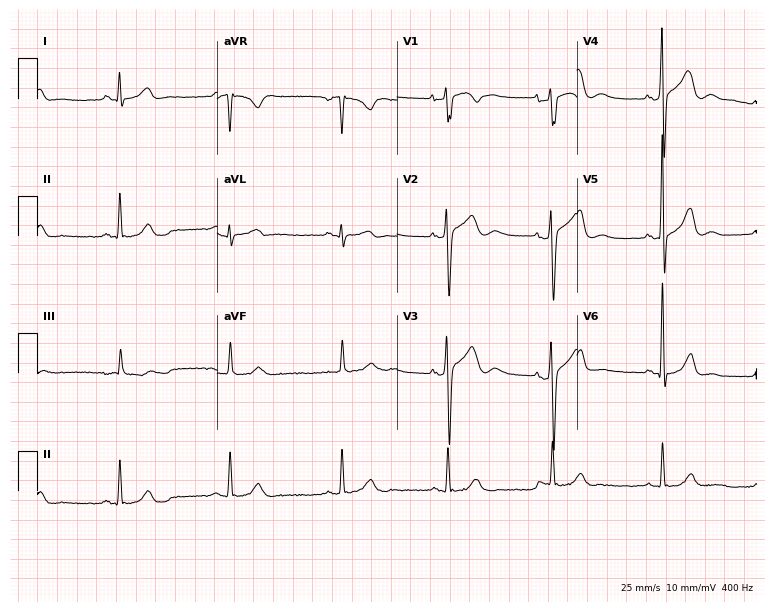
ECG — a male, 36 years old. Screened for six findings — first-degree AV block, right bundle branch block, left bundle branch block, sinus bradycardia, atrial fibrillation, sinus tachycardia — none is recorded.